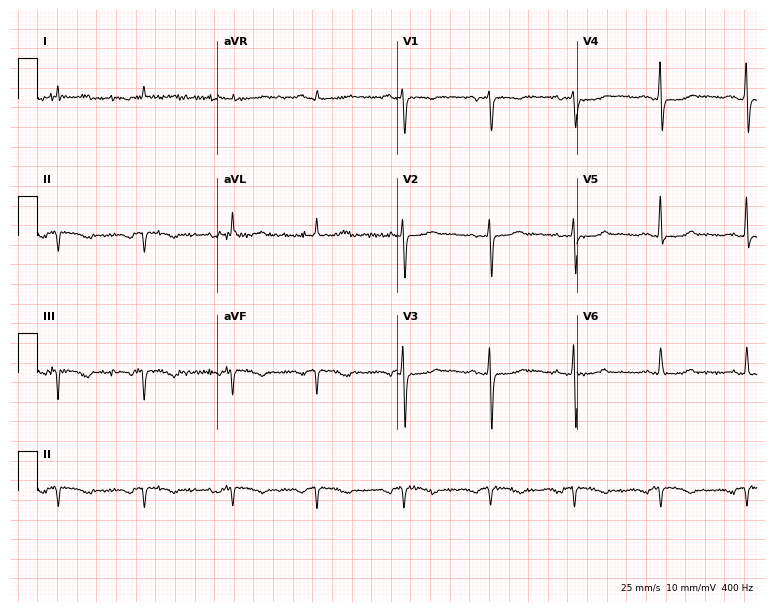
Resting 12-lead electrocardiogram (7.3-second recording at 400 Hz). Patient: a woman, 62 years old. None of these six findings is recorded: first-degree AV block, right bundle branch block, left bundle branch block, sinus bradycardia, atrial fibrillation, sinus tachycardia.